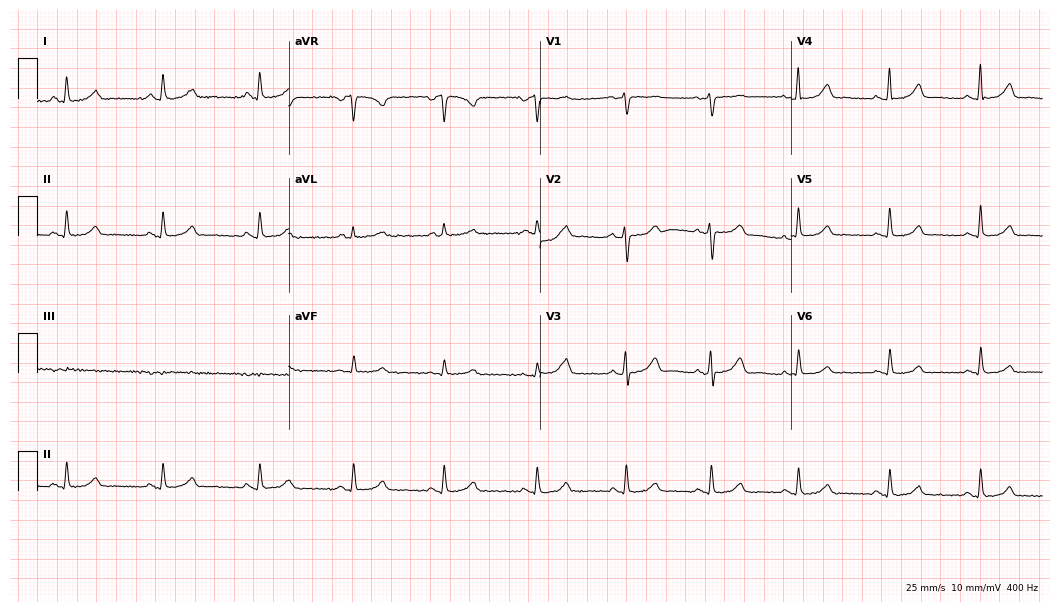
12-lead ECG from a 51-year-old female patient. Labelled as a normal ECG.